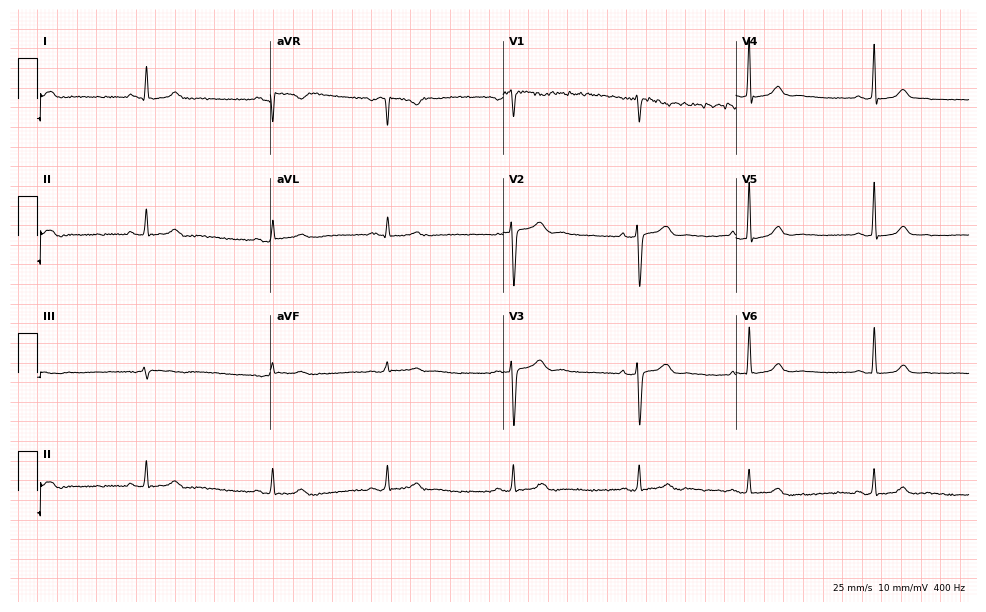
12-lead ECG (9.5-second recording at 400 Hz) from a woman, 36 years old. Findings include sinus bradycardia (a sinus rate of 50 beats per minute or less).